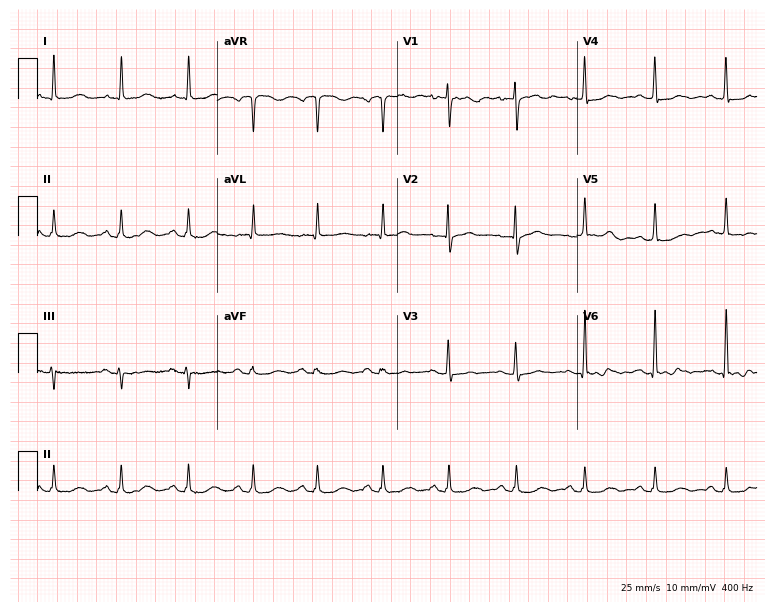
ECG — a 65-year-old female patient. Labelled as a normal ECG.